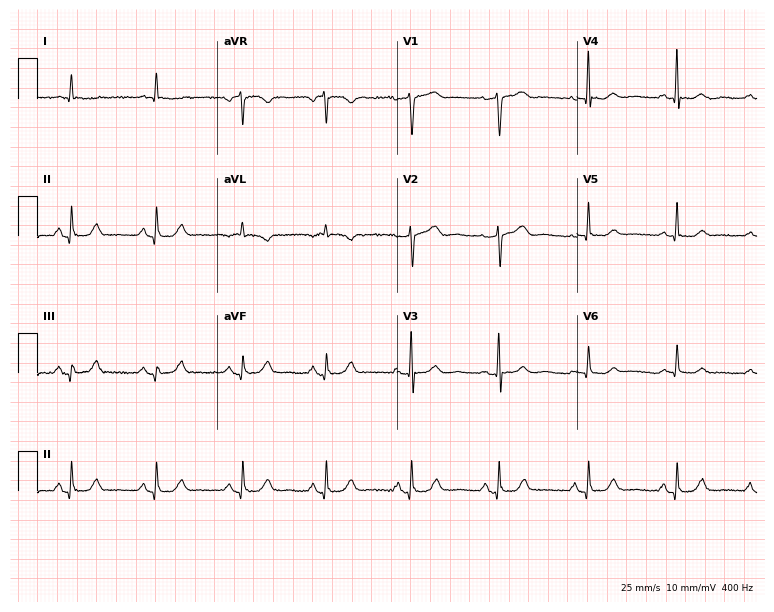
12-lead ECG (7.3-second recording at 400 Hz) from a 69-year-old female. Screened for six findings — first-degree AV block, right bundle branch block, left bundle branch block, sinus bradycardia, atrial fibrillation, sinus tachycardia — none is recorded.